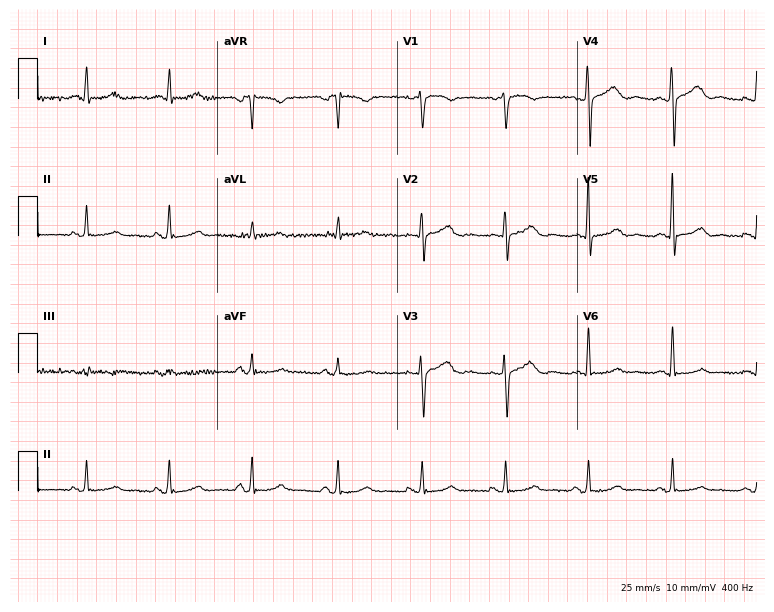
ECG — a woman, 57 years old. Labelled as a normal ECG.